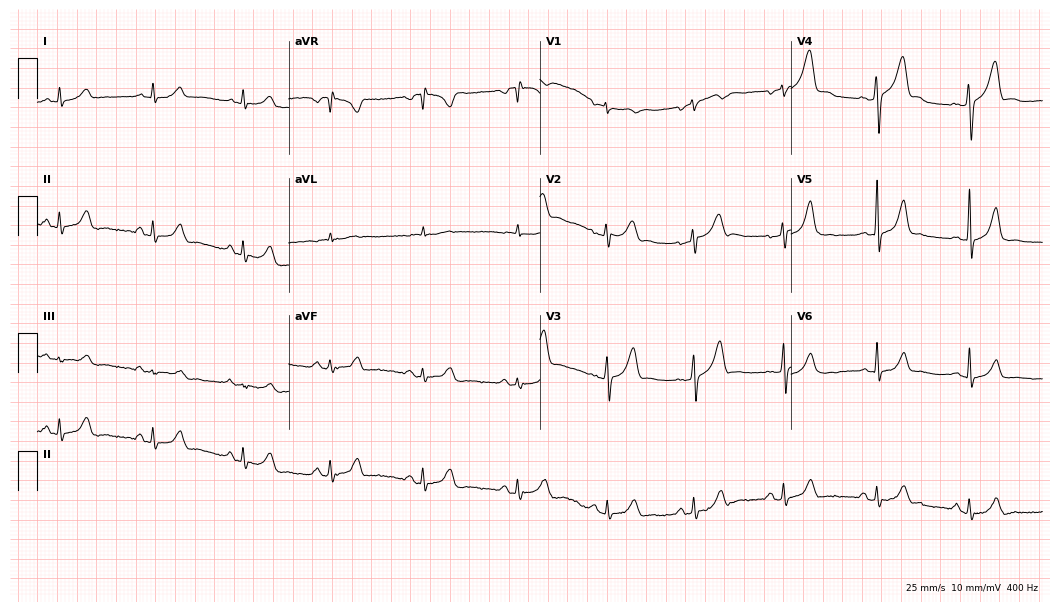
Electrocardiogram (10.2-second recording at 400 Hz), a male patient, 41 years old. Overall reading on record: normal ECG.